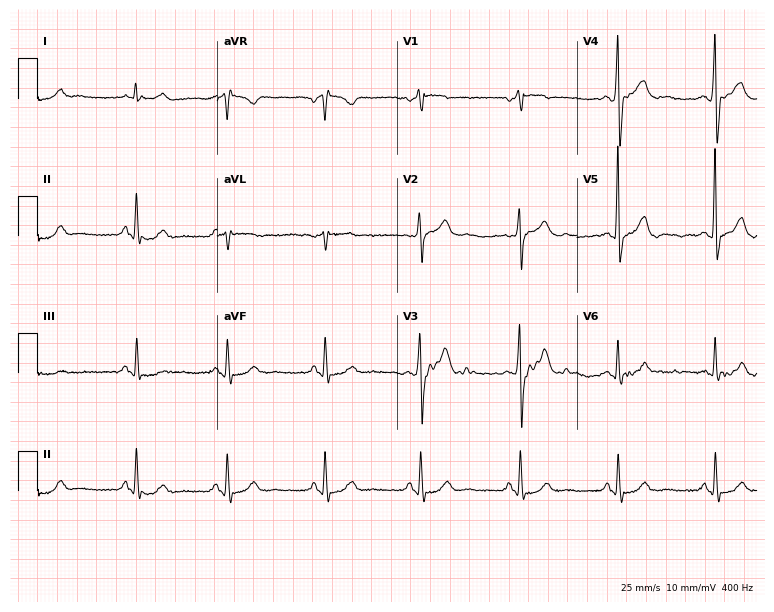
12-lead ECG from a 71-year-old man. No first-degree AV block, right bundle branch block (RBBB), left bundle branch block (LBBB), sinus bradycardia, atrial fibrillation (AF) or sinus tachycardia recorded for this tracing.